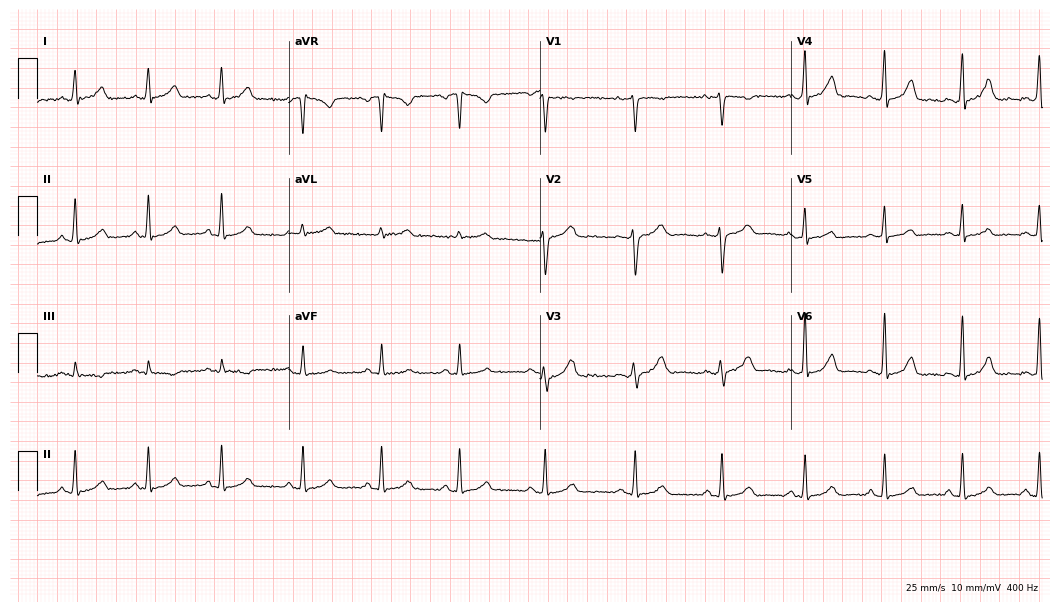
Electrocardiogram (10.2-second recording at 400 Hz), a man, 38 years old. Overall reading on record: normal ECG.